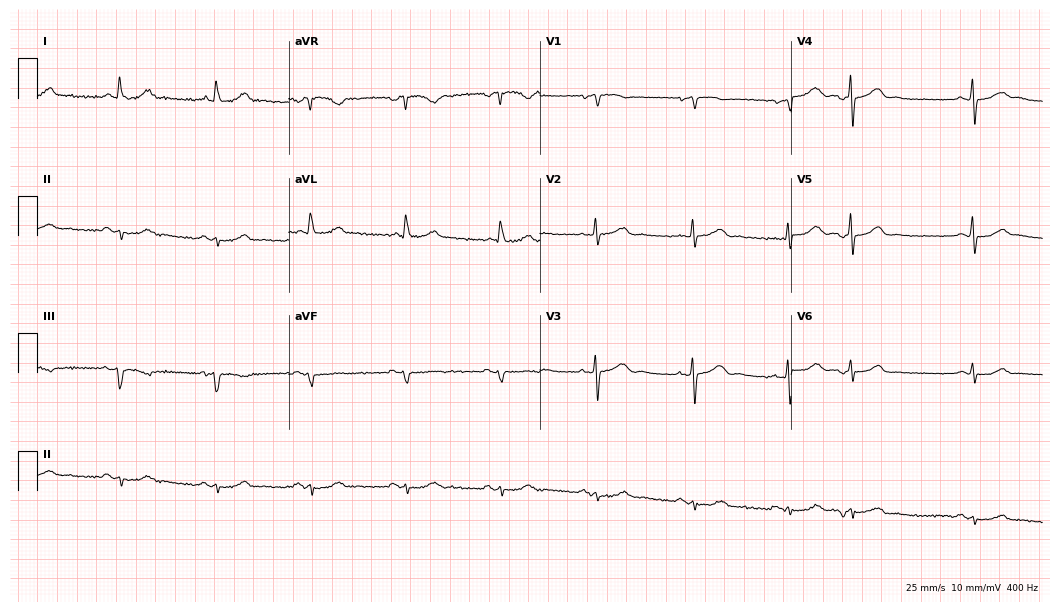
12-lead ECG from a 78-year-old female patient (10.2-second recording at 400 Hz). No first-degree AV block, right bundle branch block, left bundle branch block, sinus bradycardia, atrial fibrillation or sinus tachycardia recorded for this tracing. Findings outside these six are not listed.